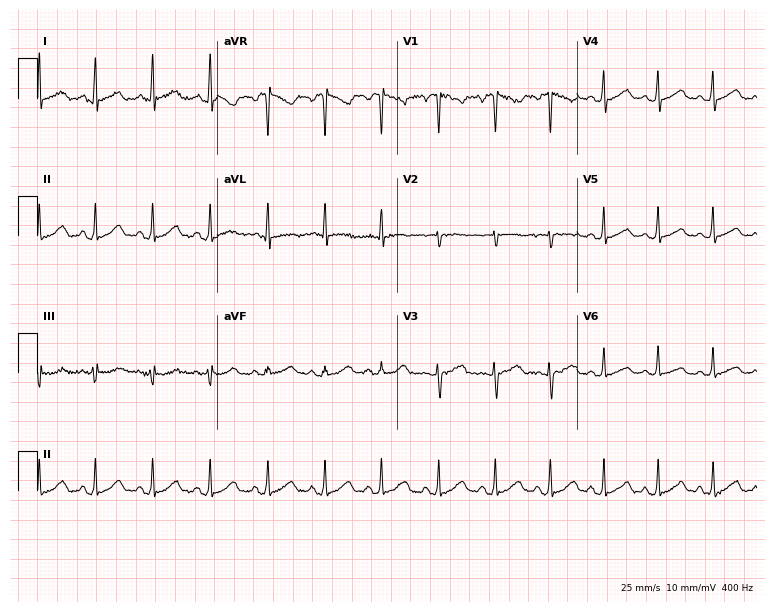
Electrocardiogram (7.3-second recording at 400 Hz), a female, 43 years old. Overall reading on record: normal ECG.